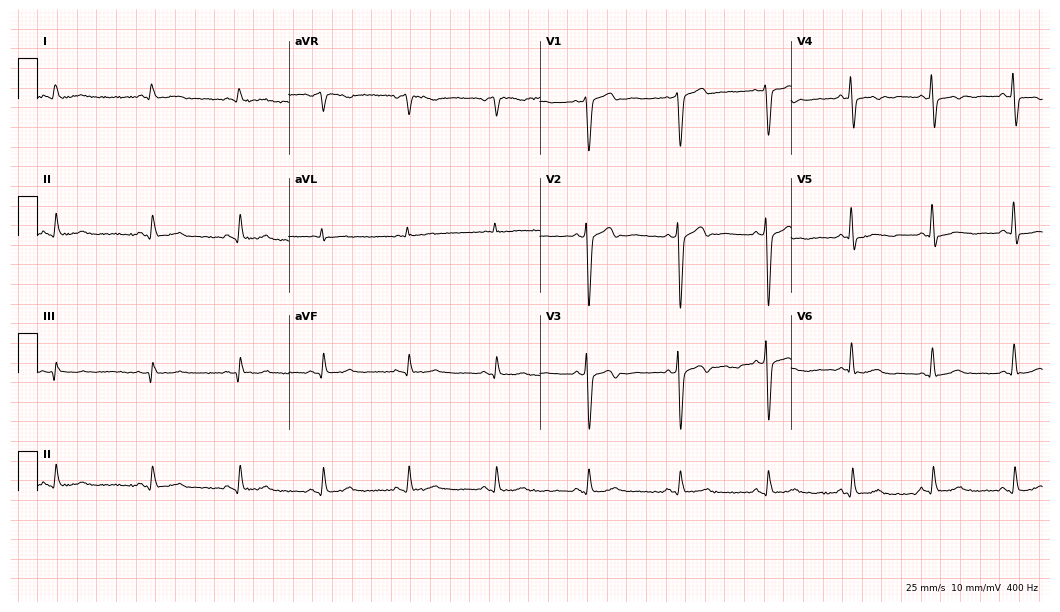
12-lead ECG (10.2-second recording at 400 Hz) from a man, 64 years old. Screened for six findings — first-degree AV block, right bundle branch block (RBBB), left bundle branch block (LBBB), sinus bradycardia, atrial fibrillation (AF), sinus tachycardia — none is recorded. Other findings, if any, are not listed.